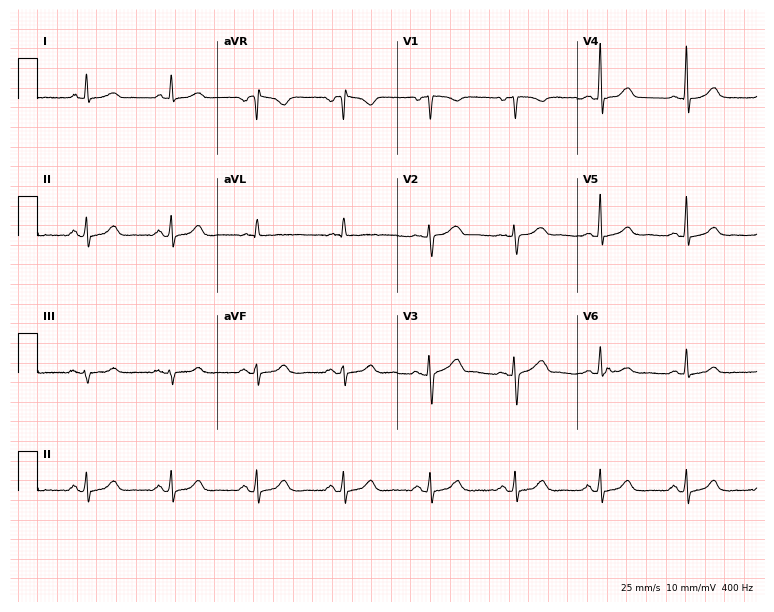
12-lead ECG from a female patient, 47 years old. Labelled as a normal ECG.